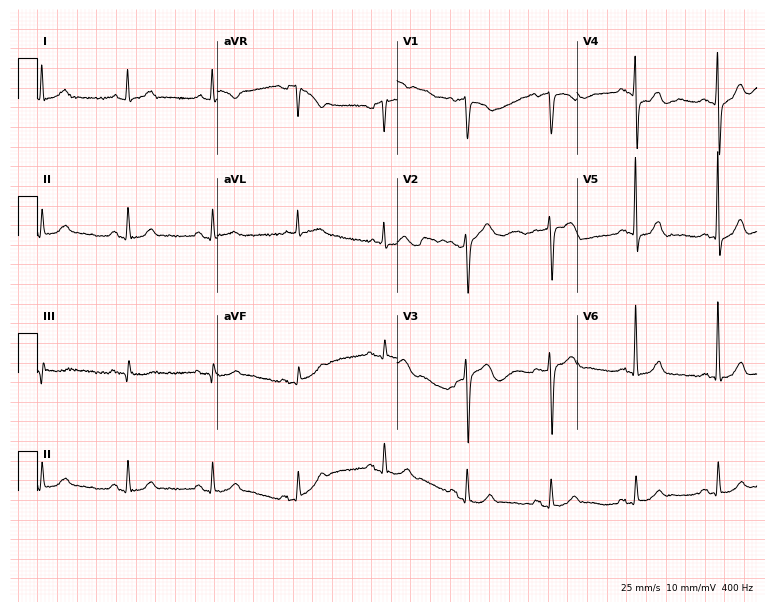
12-lead ECG (7.3-second recording at 400 Hz) from a 68-year-old female patient. Labelled as a normal ECG.